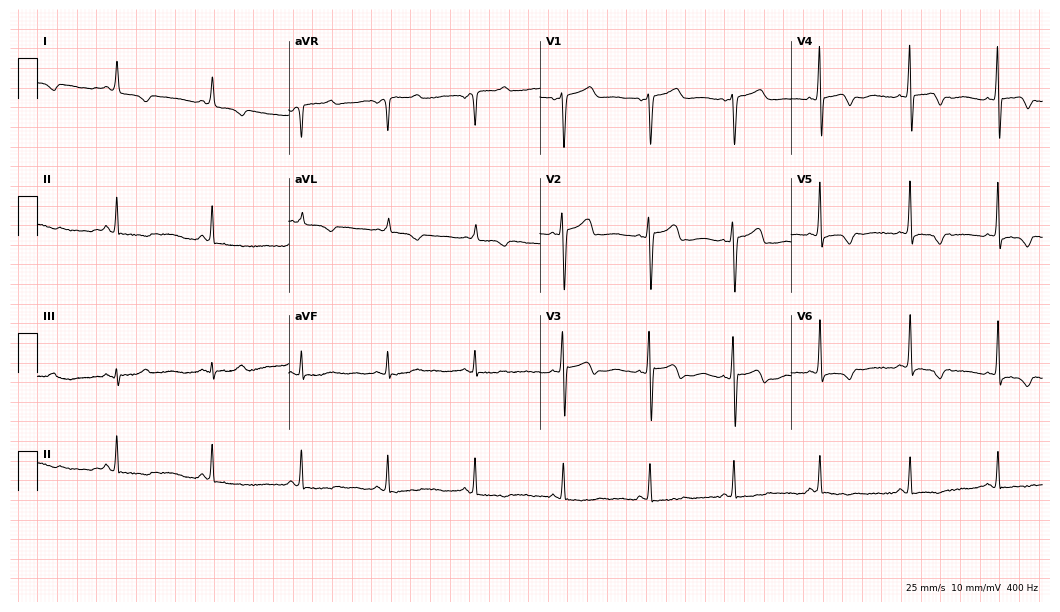
Standard 12-lead ECG recorded from a female patient, 46 years old. None of these six findings is recorded: first-degree AV block, right bundle branch block (RBBB), left bundle branch block (LBBB), sinus bradycardia, atrial fibrillation (AF), sinus tachycardia.